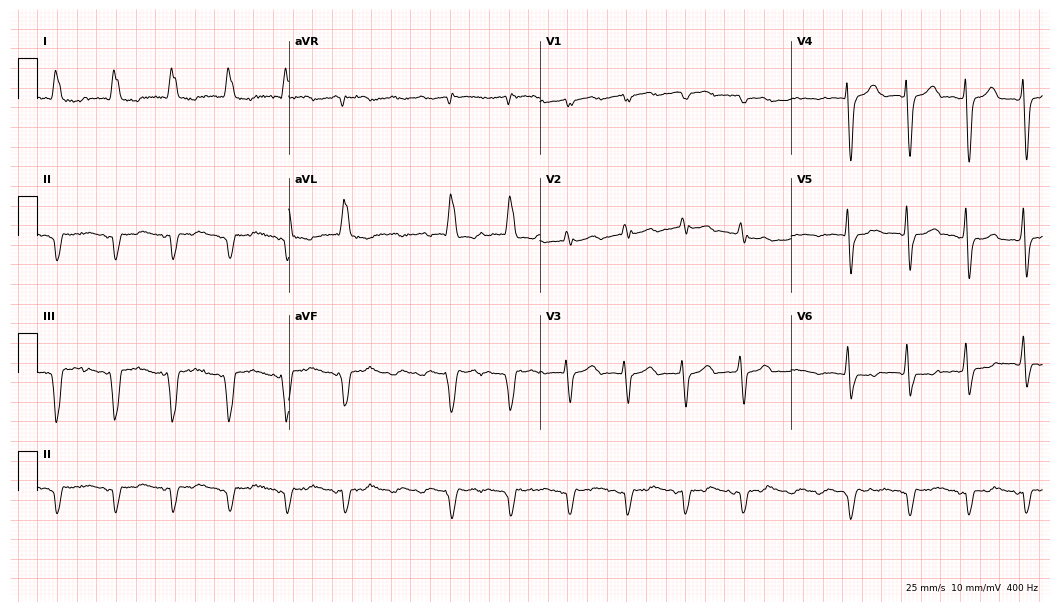
Standard 12-lead ECG recorded from a woman, 84 years old (10.2-second recording at 400 Hz). The tracing shows left bundle branch block.